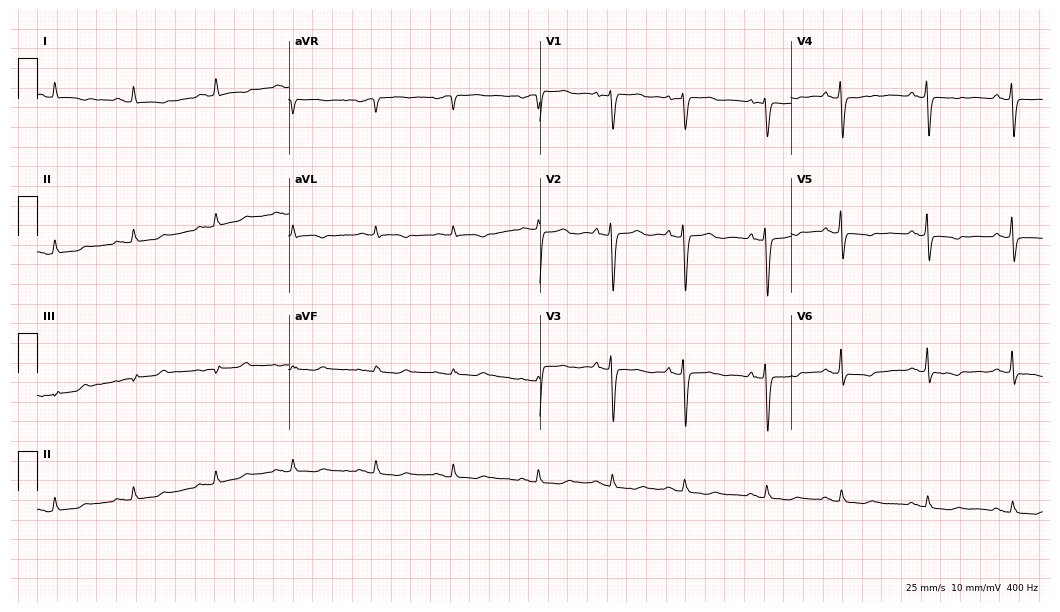
Standard 12-lead ECG recorded from a female patient, 73 years old (10.2-second recording at 400 Hz). None of these six findings is recorded: first-degree AV block, right bundle branch block, left bundle branch block, sinus bradycardia, atrial fibrillation, sinus tachycardia. Findings outside these six are not listed.